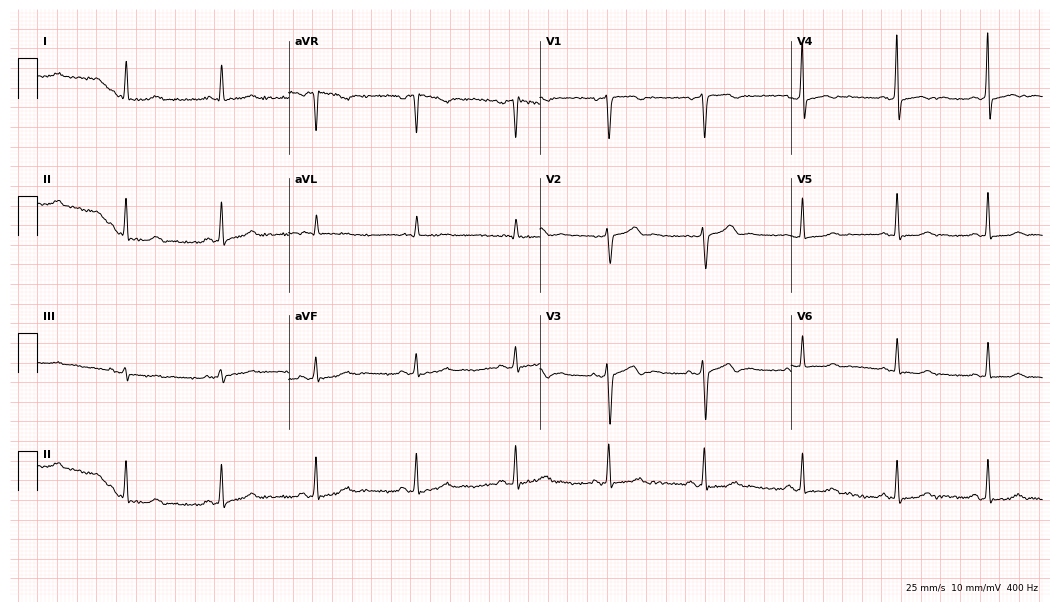
Standard 12-lead ECG recorded from a female patient, 37 years old (10.2-second recording at 400 Hz). None of these six findings is recorded: first-degree AV block, right bundle branch block (RBBB), left bundle branch block (LBBB), sinus bradycardia, atrial fibrillation (AF), sinus tachycardia. Only these six findings were labelled.